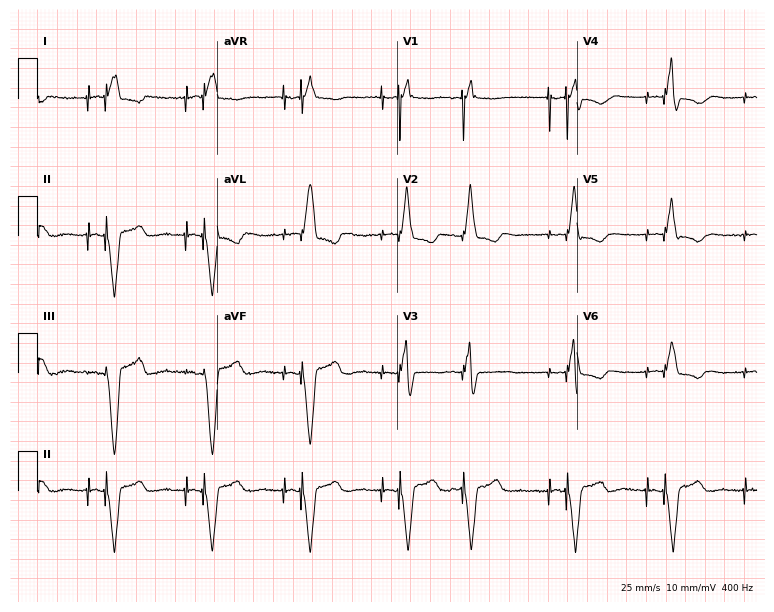
Resting 12-lead electrocardiogram (7.3-second recording at 400 Hz). Patient: a female, 53 years old. None of these six findings is recorded: first-degree AV block, right bundle branch block (RBBB), left bundle branch block (LBBB), sinus bradycardia, atrial fibrillation (AF), sinus tachycardia.